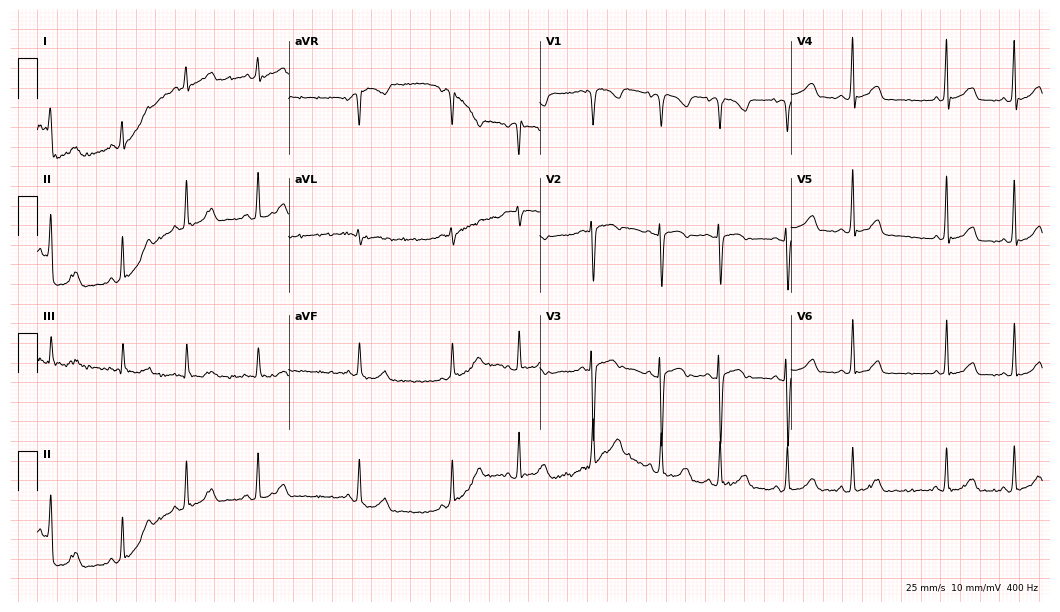
Standard 12-lead ECG recorded from a 32-year-old male patient (10.2-second recording at 400 Hz). Read as a normal ECG.